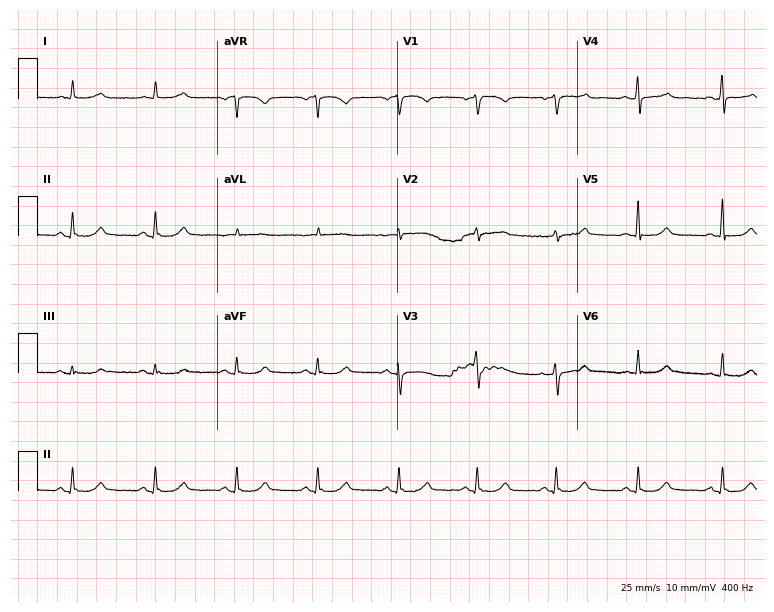
Resting 12-lead electrocardiogram (7.3-second recording at 400 Hz). Patient: a female, 73 years old. Read as a normal ECG.